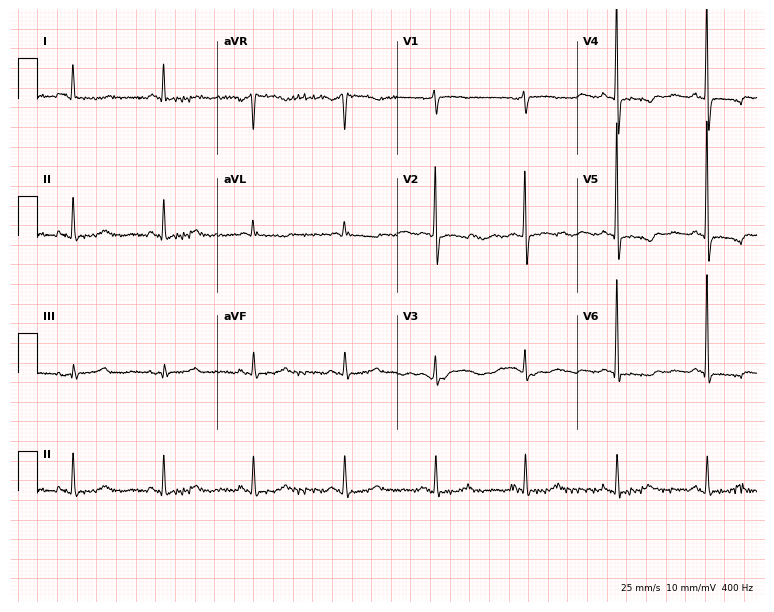
12-lead ECG from a female patient, 78 years old. Screened for six findings — first-degree AV block, right bundle branch block, left bundle branch block, sinus bradycardia, atrial fibrillation, sinus tachycardia — none is recorded. Other findings, if any, are not listed.